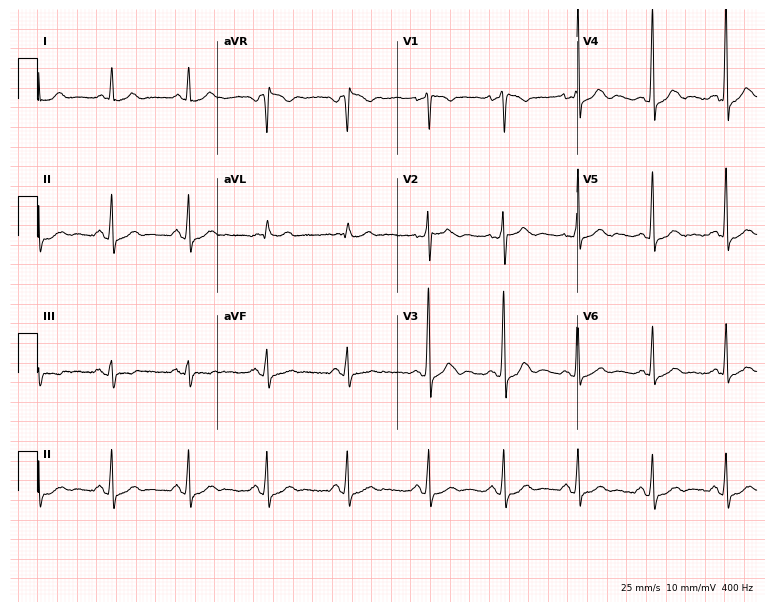
Resting 12-lead electrocardiogram. Patient: a 56-year-old man. Read as a normal ECG.